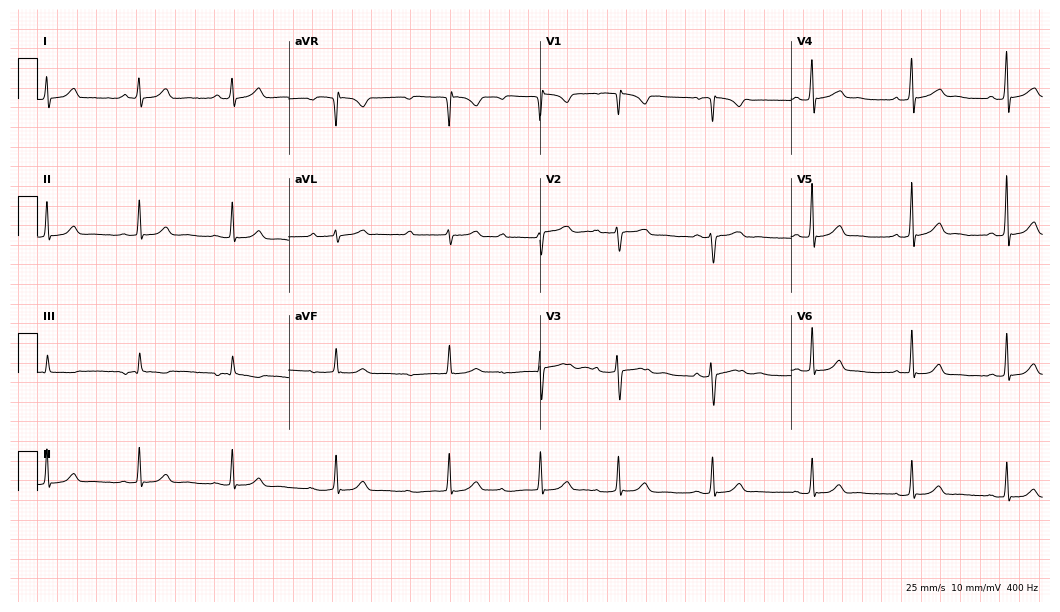
Electrocardiogram, a female patient, 29 years old. Of the six screened findings (first-degree AV block, right bundle branch block, left bundle branch block, sinus bradycardia, atrial fibrillation, sinus tachycardia), none is recorded. Findings outside these six are not listed.